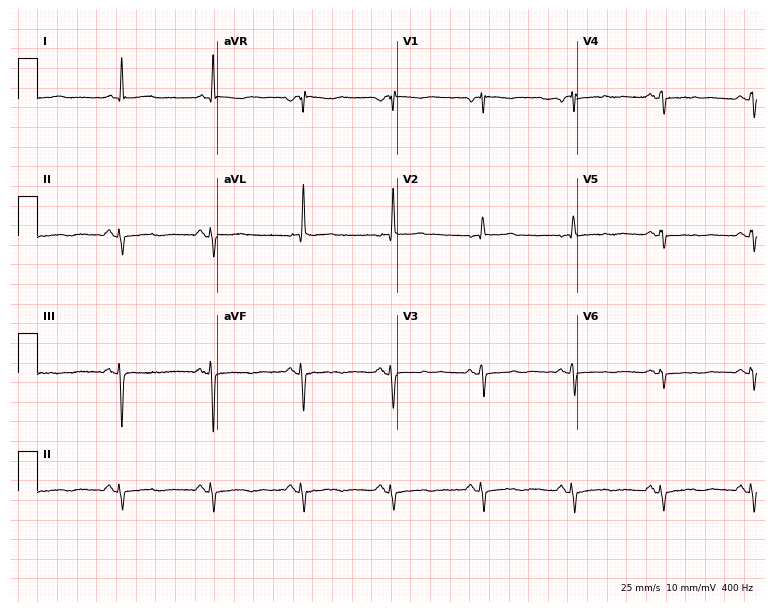
12-lead ECG from a female, 70 years old. No first-degree AV block, right bundle branch block, left bundle branch block, sinus bradycardia, atrial fibrillation or sinus tachycardia recorded for this tracing. Other findings, if any, are not listed.